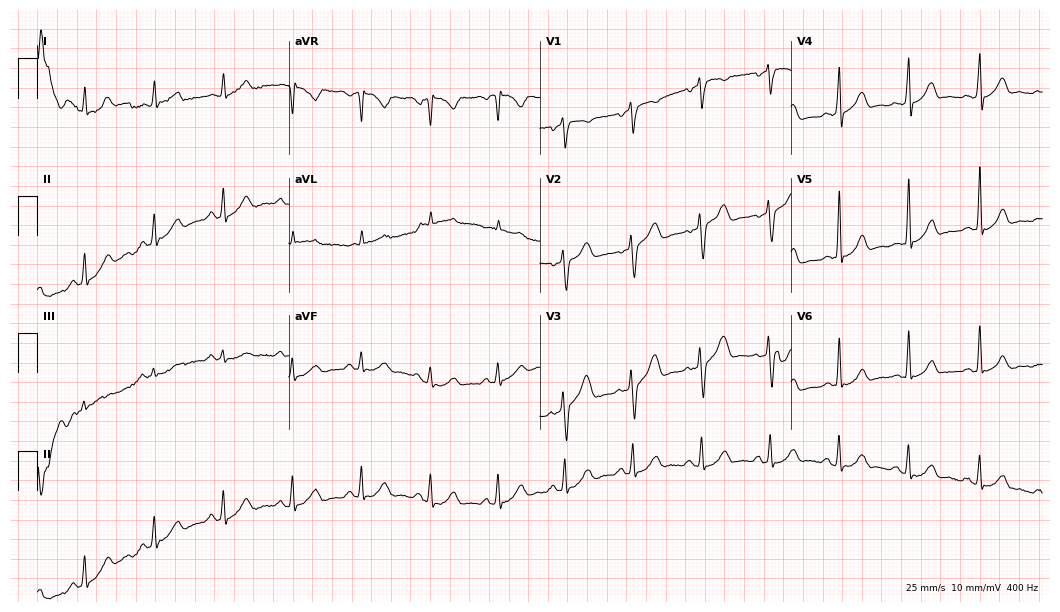
12-lead ECG from a 40-year-old man (10.2-second recording at 400 Hz). No first-degree AV block, right bundle branch block, left bundle branch block, sinus bradycardia, atrial fibrillation or sinus tachycardia recorded for this tracing.